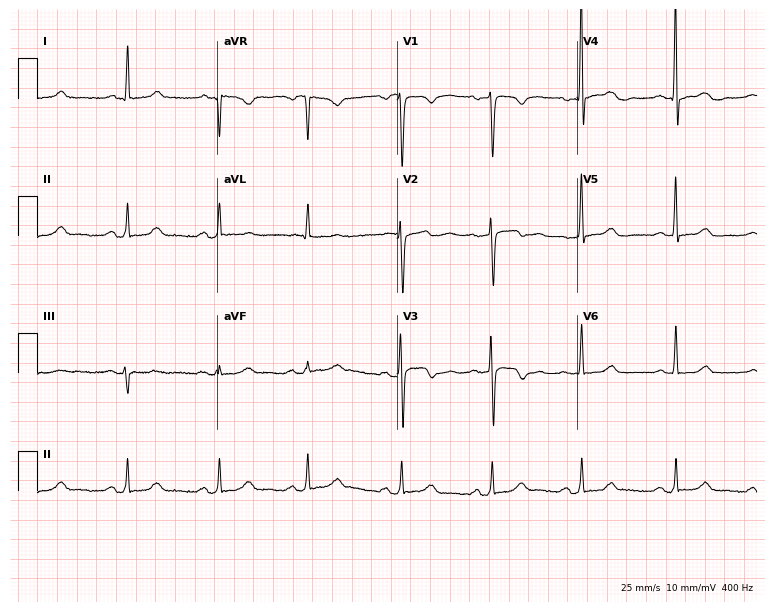
Resting 12-lead electrocardiogram (7.3-second recording at 400 Hz). Patient: a woman, 43 years old. None of these six findings is recorded: first-degree AV block, right bundle branch block (RBBB), left bundle branch block (LBBB), sinus bradycardia, atrial fibrillation (AF), sinus tachycardia. Findings outside these six are not listed.